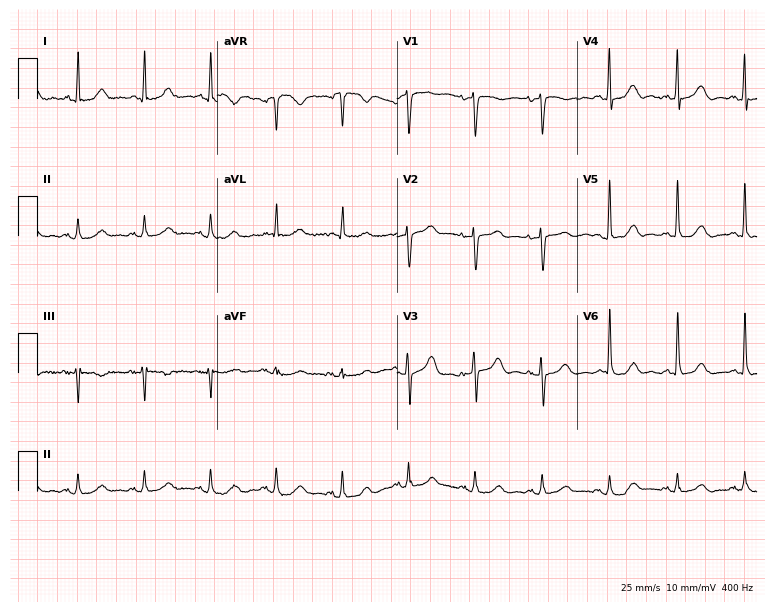
ECG (7.3-second recording at 400 Hz) — a female patient, 68 years old. Screened for six findings — first-degree AV block, right bundle branch block, left bundle branch block, sinus bradycardia, atrial fibrillation, sinus tachycardia — none is recorded.